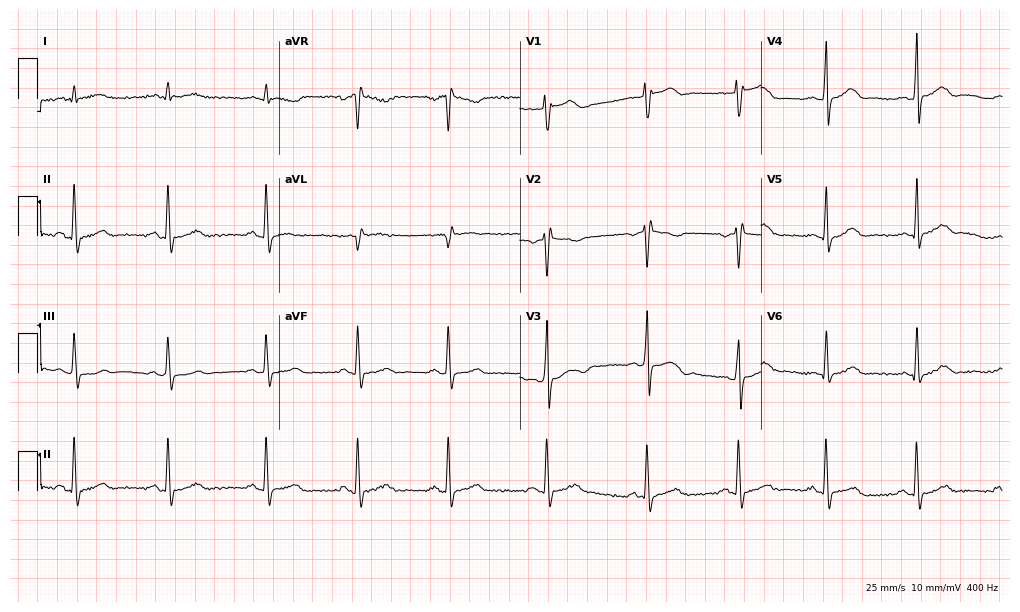
12-lead ECG (9.8-second recording at 400 Hz) from a male, 33 years old. Screened for six findings — first-degree AV block, right bundle branch block, left bundle branch block, sinus bradycardia, atrial fibrillation, sinus tachycardia — none is recorded.